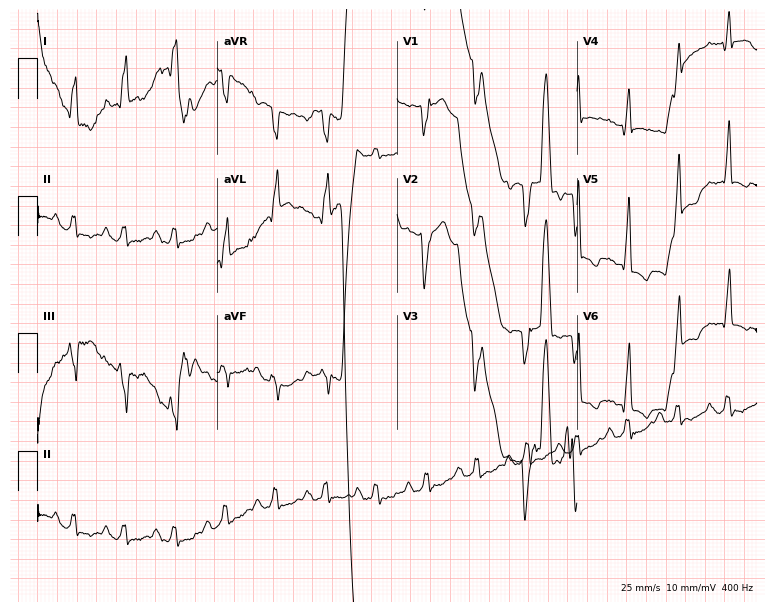
Resting 12-lead electrocardiogram. Patient: a 37-year-old woman. The tracing shows left bundle branch block (LBBB), sinus tachycardia (a sinus rate of 100 beats per minute or more).